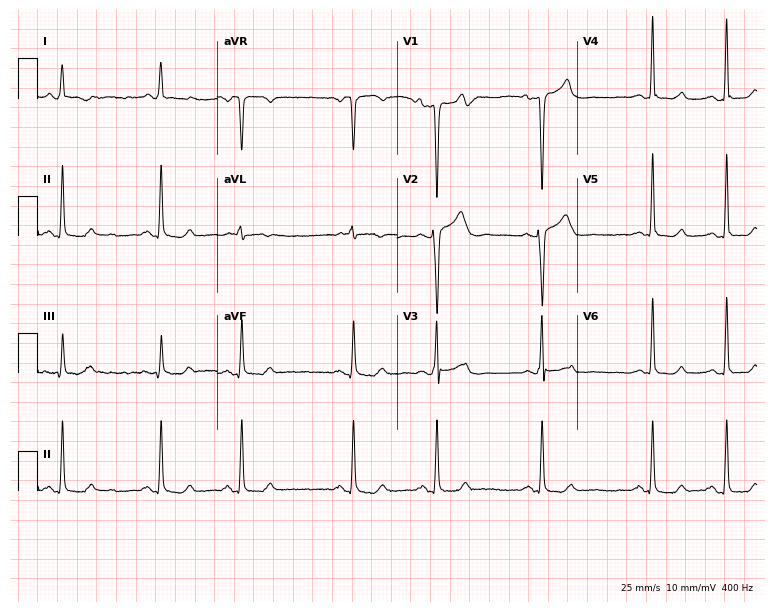
12-lead ECG (7.3-second recording at 400 Hz) from a male patient, 59 years old. Screened for six findings — first-degree AV block, right bundle branch block, left bundle branch block, sinus bradycardia, atrial fibrillation, sinus tachycardia — none is recorded.